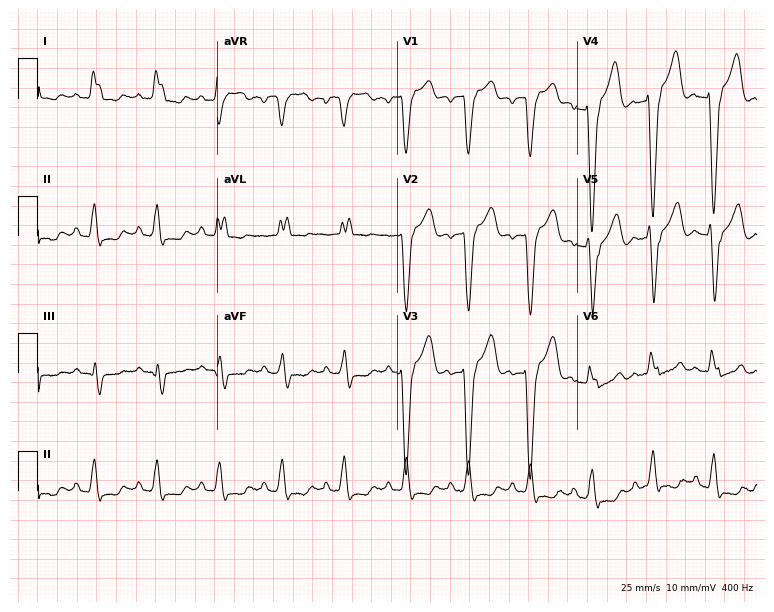
Electrocardiogram, a 74-year-old man. Interpretation includes left bundle branch block (LBBB).